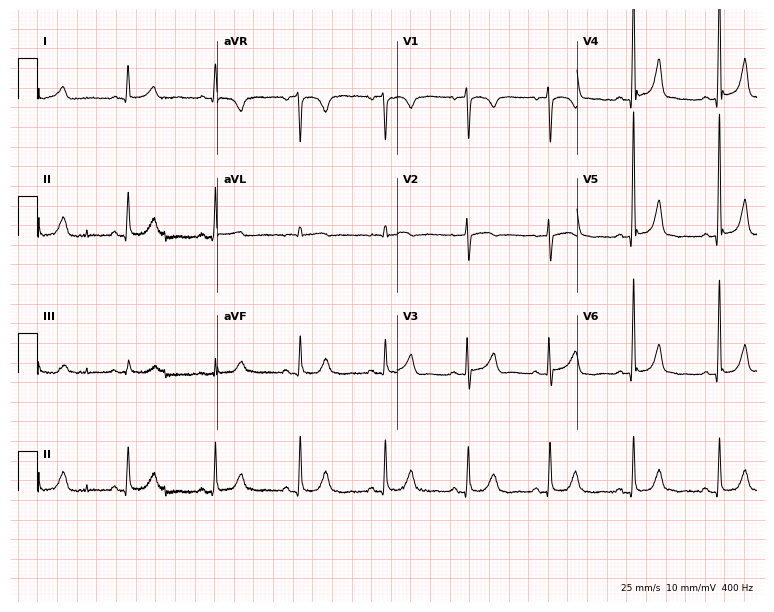
12-lead ECG from a 67-year-old female. No first-degree AV block, right bundle branch block (RBBB), left bundle branch block (LBBB), sinus bradycardia, atrial fibrillation (AF) or sinus tachycardia recorded for this tracing. Findings outside these six are not listed.